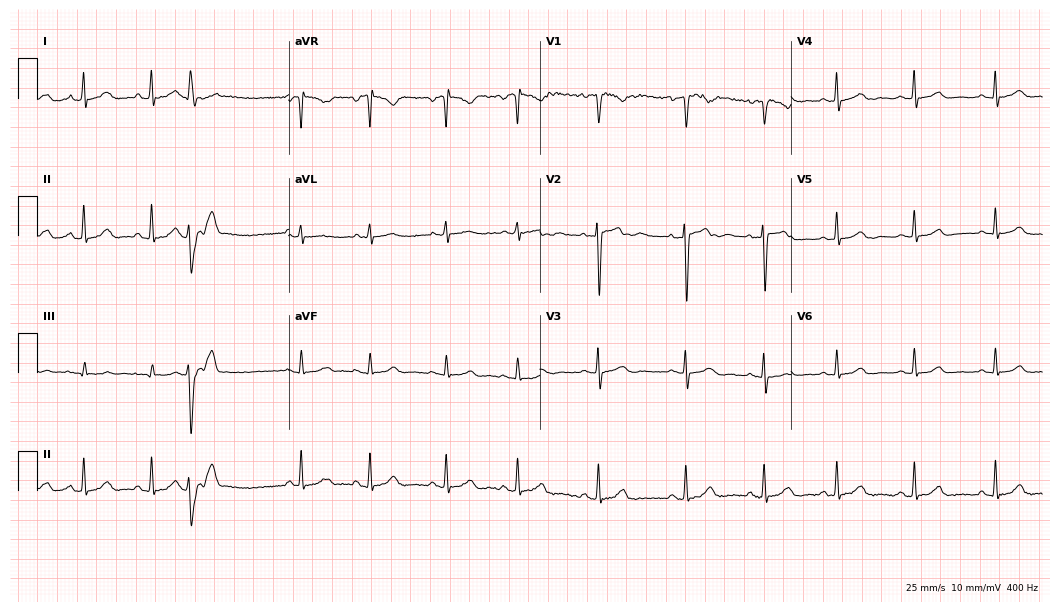
ECG — a 31-year-old female. Labelled as a normal ECG.